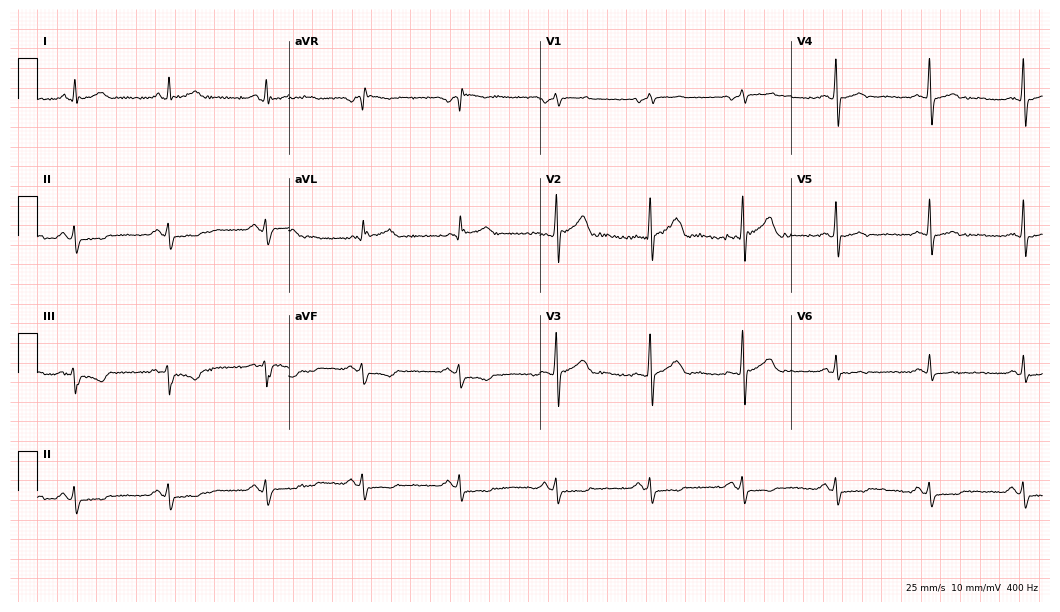
ECG (10.2-second recording at 400 Hz) — a man, 56 years old. Screened for six findings — first-degree AV block, right bundle branch block (RBBB), left bundle branch block (LBBB), sinus bradycardia, atrial fibrillation (AF), sinus tachycardia — none is recorded. Other findings, if any, are not listed.